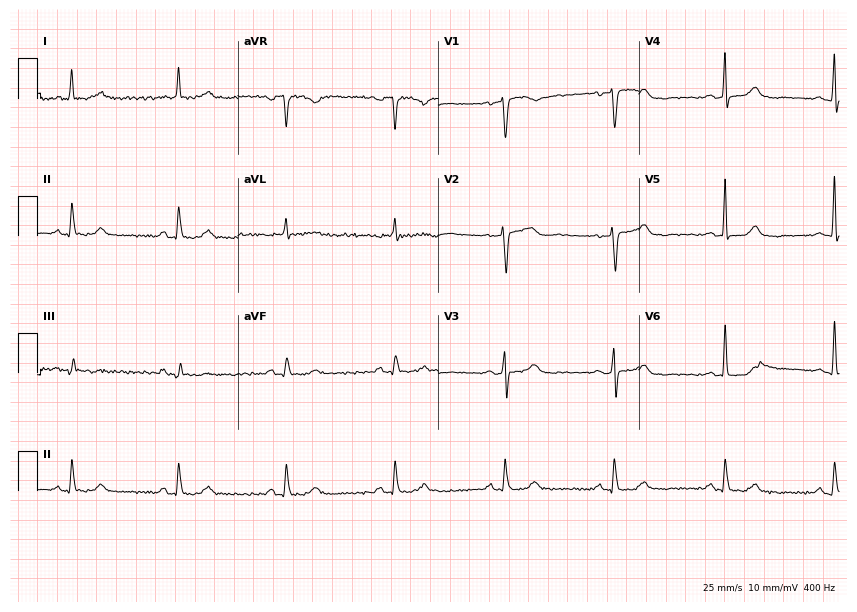
Resting 12-lead electrocardiogram (8.2-second recording at 400 Hz). Patient: a 65-year-old female. Read as a normal ECG.